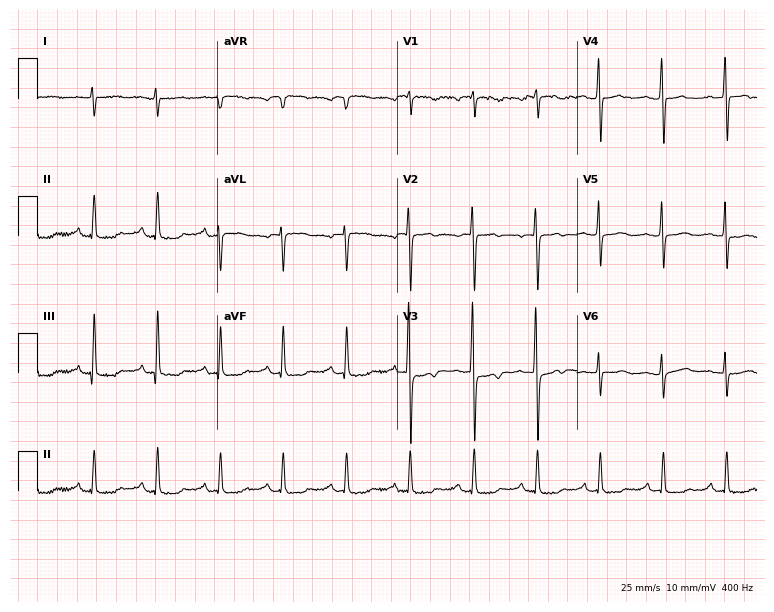
Standard 12-lead ECG recorded from a 71-year-old man (7.3-second recording at 400 Hz). None of these six findings is recorded: first-degree AV block, right bundle branch block (RBBB), left bundle branch block (LBBB), sinus bradycardia, atrial fibrillation (AF), sinus tachycardia. Other findings, if any, are not listed.